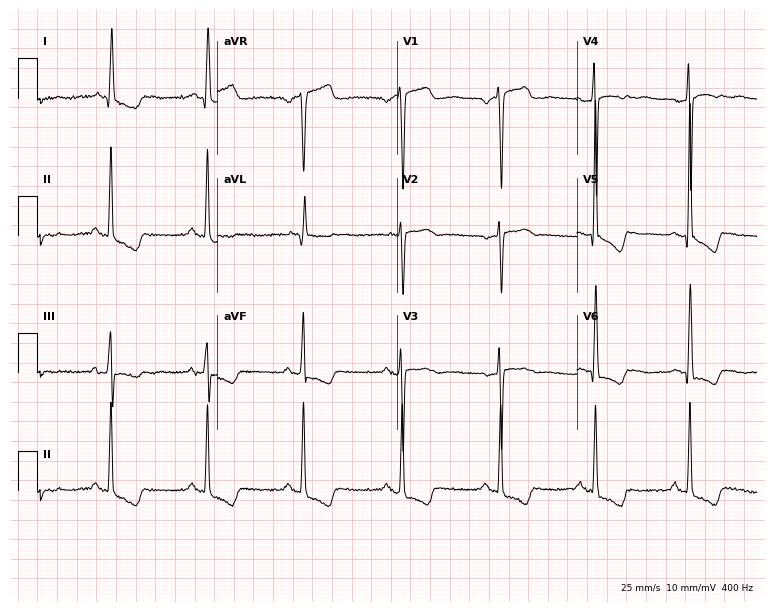
12-lead ECG from a 68-year-old man (7.3-second recording at 400 Hz). No first-degree AV block, right bundle branch block, left bundle branch block, sinus bradycardia, atrial fibrillation or sinus tachycardia recorded for this tracing. Only these six findings were labelled.